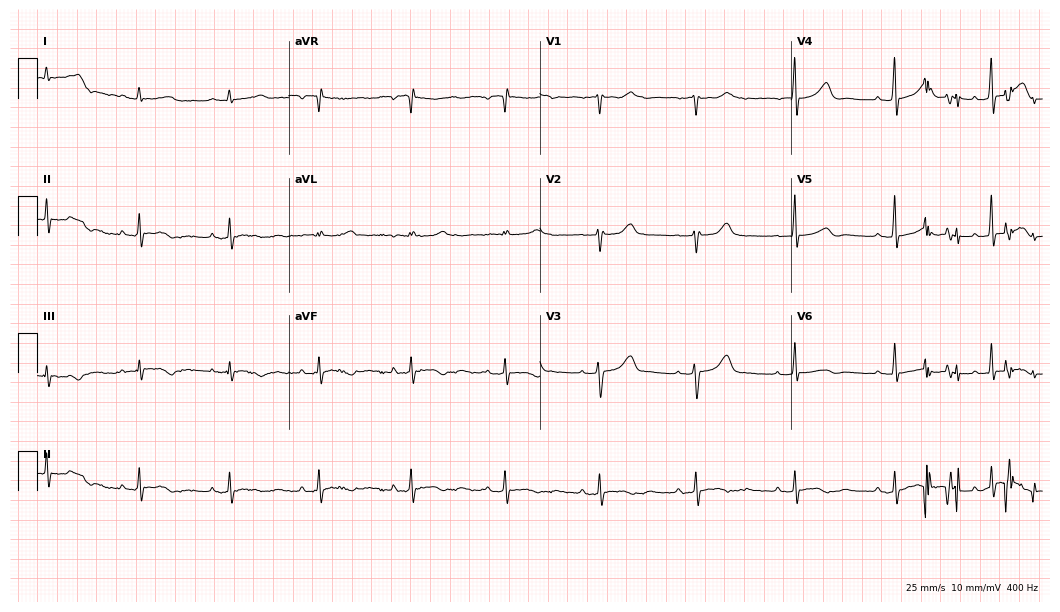
Electrocardiogram (10.2-second recording at 400 Hz), a male patient, 43 years old. Overall reading on record: normal ECG.